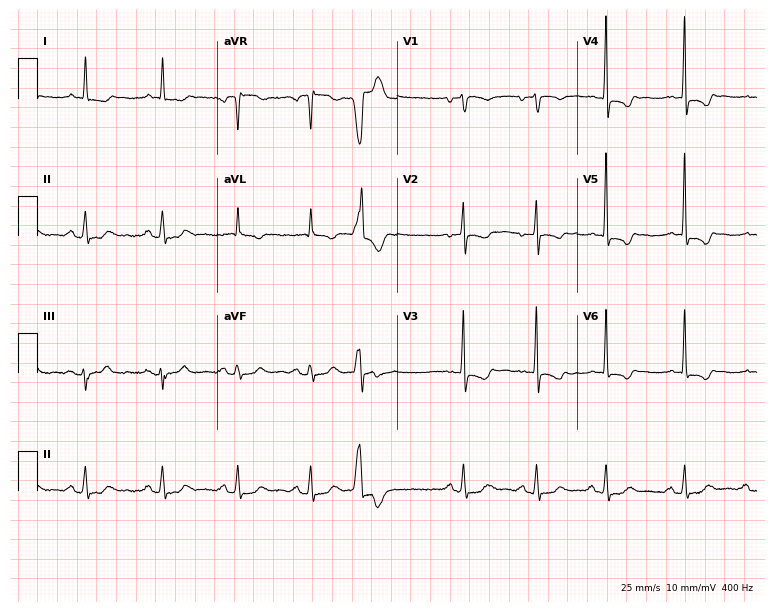
Electrocardiogram (7.3-second recording at 400 Hz), a female, 85 years old. Of the six screened findings (first-degree AV block, right bundle branch block, left bundle branch block, sinus bradycardia, atrial fibrillation, sinus tachycardia), none is recorded.